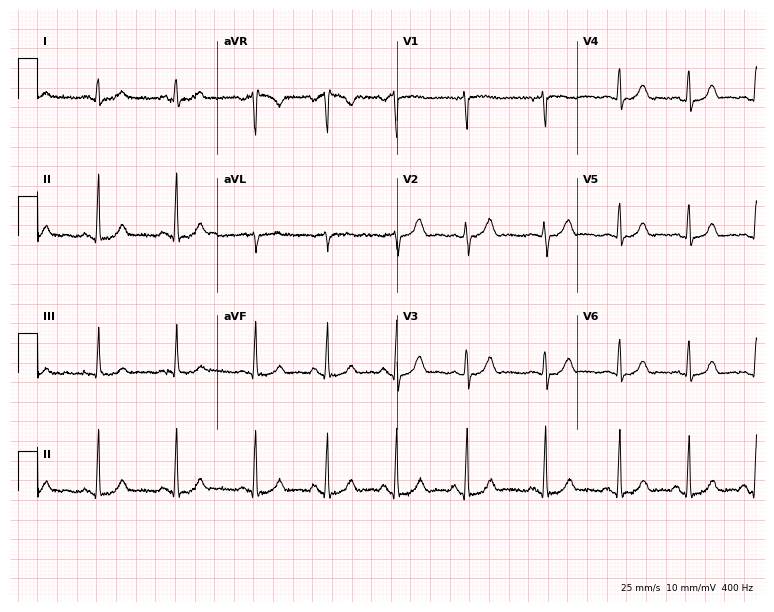
12-lead ECG from a 31-year-old female patient (7.3-second recording at 400 Hz). No first-degree AV block, right bundle branch block, left bundle branch block, sinus bradycardia, atrial fibrillation or sinus tachycardia recorded for this tracing.